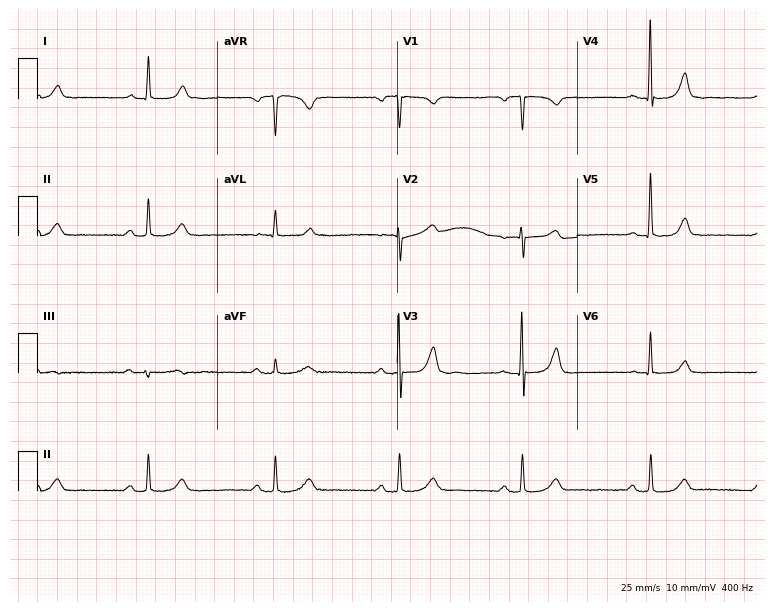
12-lead ECG from a 75-year-old female patient. Findings include first-degree AV block, sinus bradycardia (a sinus rate of 50 beats per minute or less).